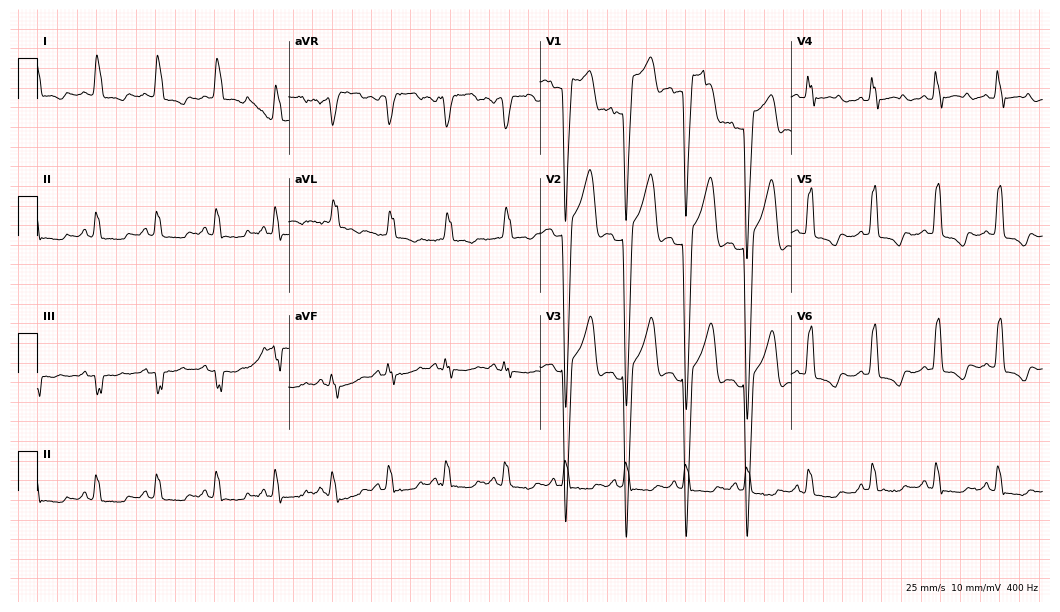
12-lead ECG (10.2-second recording at 400 Hz) from a man, 50 years old. Findings include left bundle branch block.